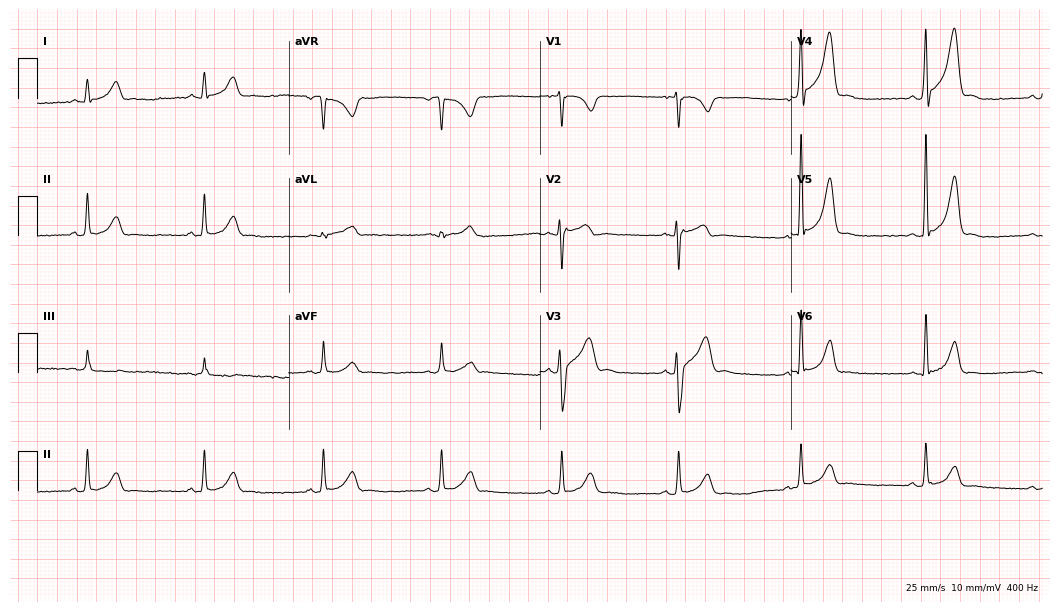
ECG (10.2-second recording at 400 Hz) — a 41-year-old male patient. Screened for six findings — first-degree AV block, right bundle branch block, left bundle branch block, sinus bradycardia, atrial fibrillation, sinus tachycardia — none is recorded.